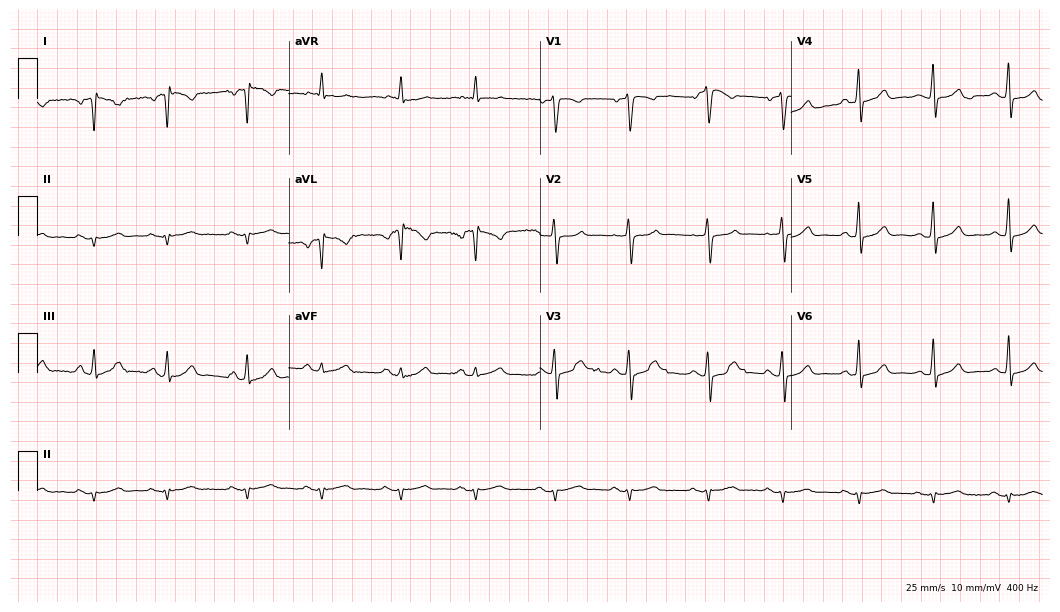
Electrocardiogram (10.2-second recording at 400 Hz), a 74-year-old woman. Of the six screened findings (first-degree AV block, right bundle branch block, left bundle branch block, sinus bradycardia, atrial fibrillation, sinus tachycardia), none is recorded.